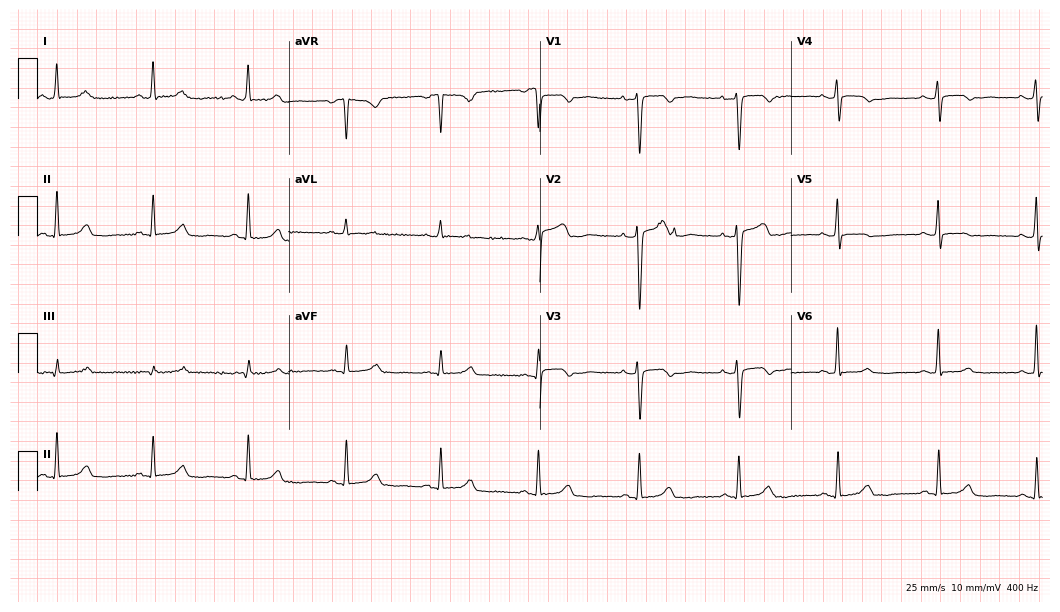
Electrocardiogram (10.2-second recording at 400 Hz), a 63-year-old female patient. Overall reading on record: normal ECG.